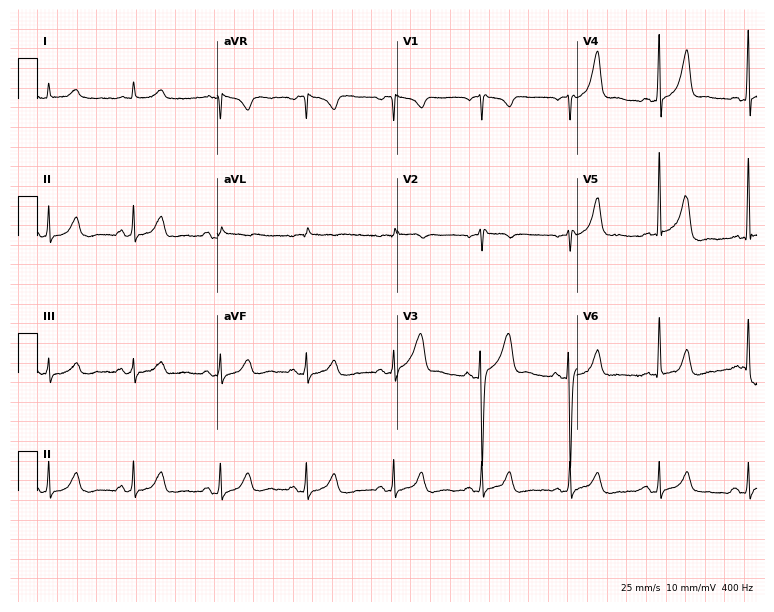
12-lead ECG from a 73-year-old man. No first-degree AV block, right bundle branch block, left bundle branch block, sinus bradycardia, atrial fibrillation or sinus tachycardia recorded for this tracing.